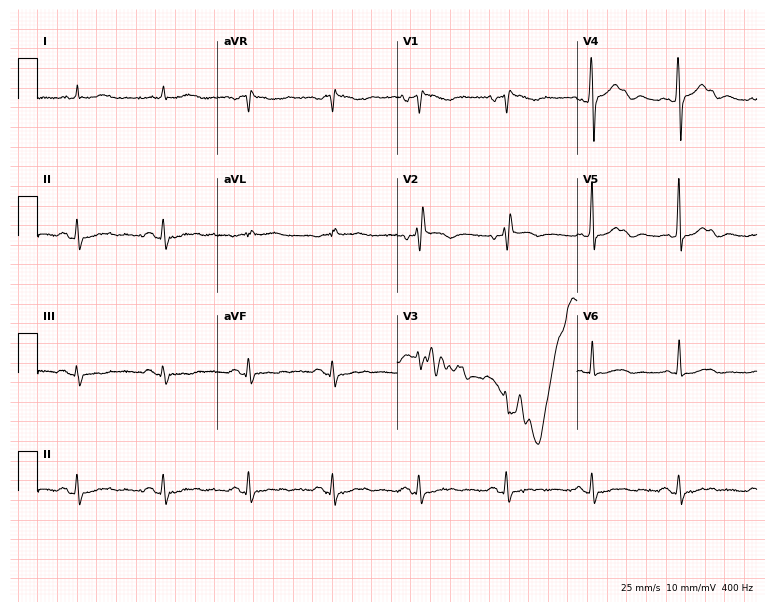
12-lead ECG from a 63-year-old male patient. No first-degree AV block, right bundle branch block (RBBB), left bundle branch block (LBBB), sinus bradycardia, atrial fibrillation (AF) or sinus tachycardia recorded for this tracing.